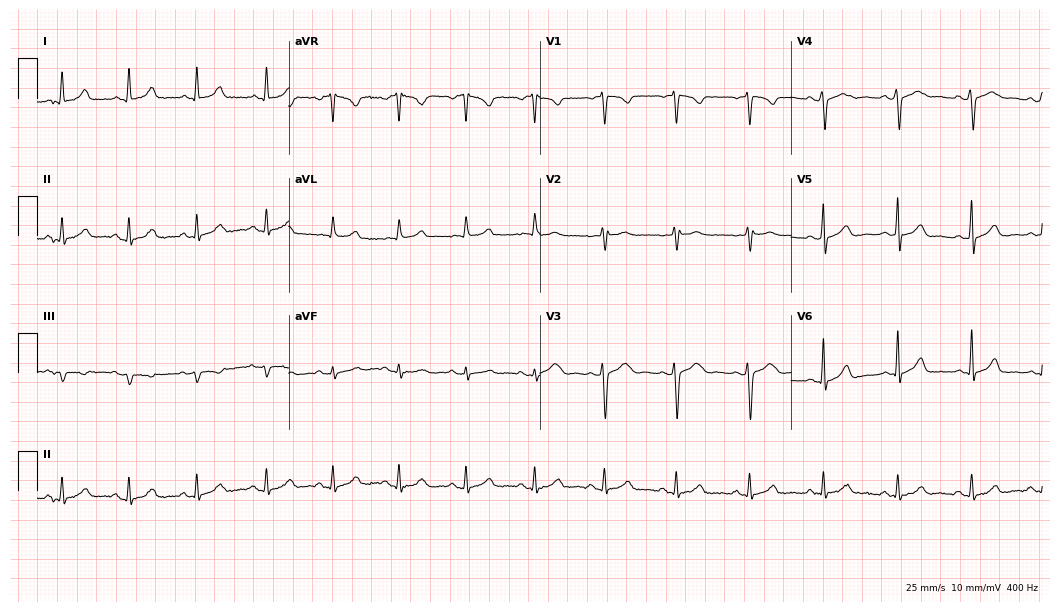
ECG (10.2-second recording at 400 Hz) — a female, 34 years old. Screened for six findings — first-degree AV block, right bundle branch block, left bundle branch block, sinus bradycardia, atrial fibrillation, sinus tachycardia — none is recorded.